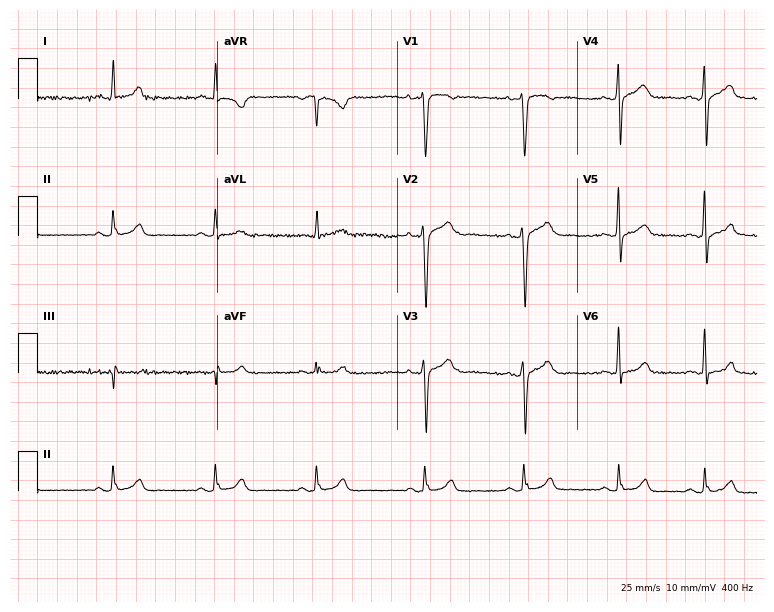
ECG (7.3-second recording at 400 Hz) — a 36-year-old male. Labelled as a normal ECG.